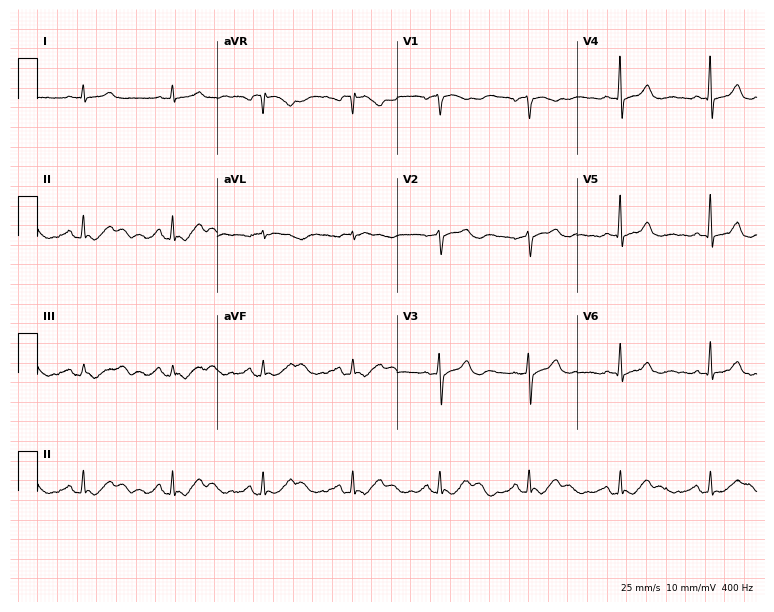
12-lead ECG (7.3-second recording at 400 Hz) from a 58-year-old man. Screened for six findings — first-degree AV block, right bundle branch block, left bundle branch block, sinus bradycardia, atrial fibrillation, sinus tachycardia — none is recorded. Only these six findings were labelled.